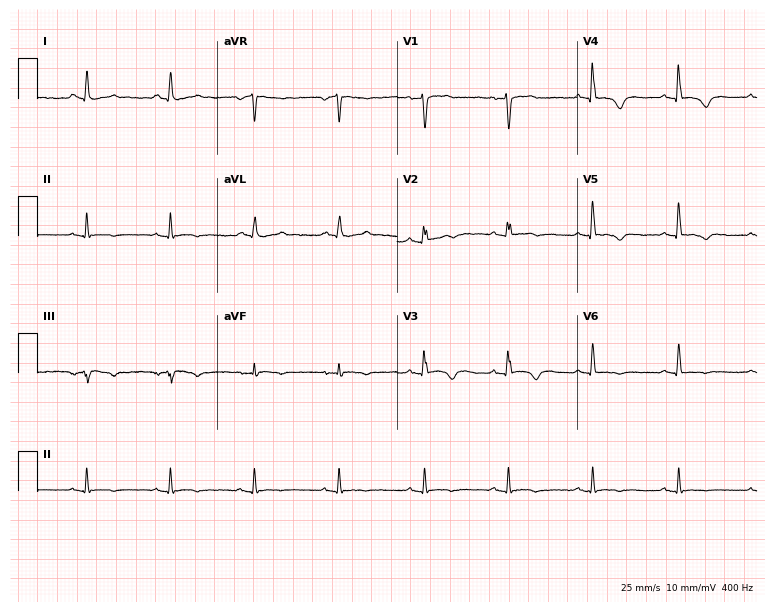
Resting 12-lead electrocardiogram (7.3-second recording at 400 Hz). Patient: a female, 80 years old. None of these six findings is recorded: first-degree AV block, right bundle branch block (RBBB), left bundle branch block (LBBB), sinus bradycardia, atrial fibrillation (AF), sinus tachycardia. Only these six findings were labelled.